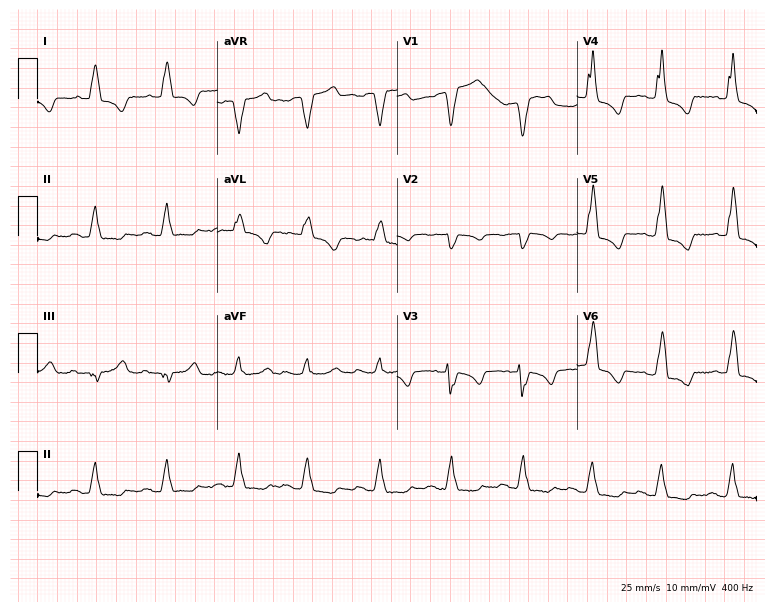
12-lead ECG (7.3-second recording at 400 Hz) from a woman, 84 years old. Findings include left bundle branch block.